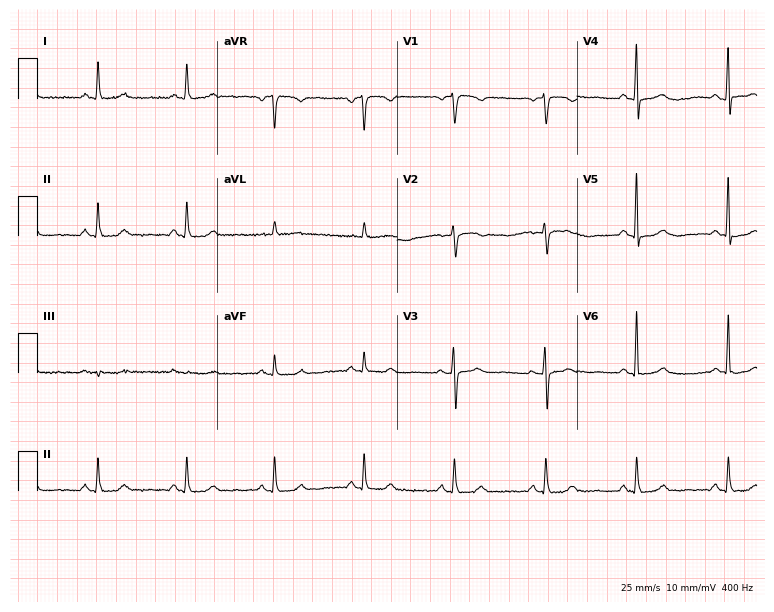
Standard 12-lead ECG recorded from a 70-year-old female (7.3-second recording at 400 Hz). Read as a normal ECG.